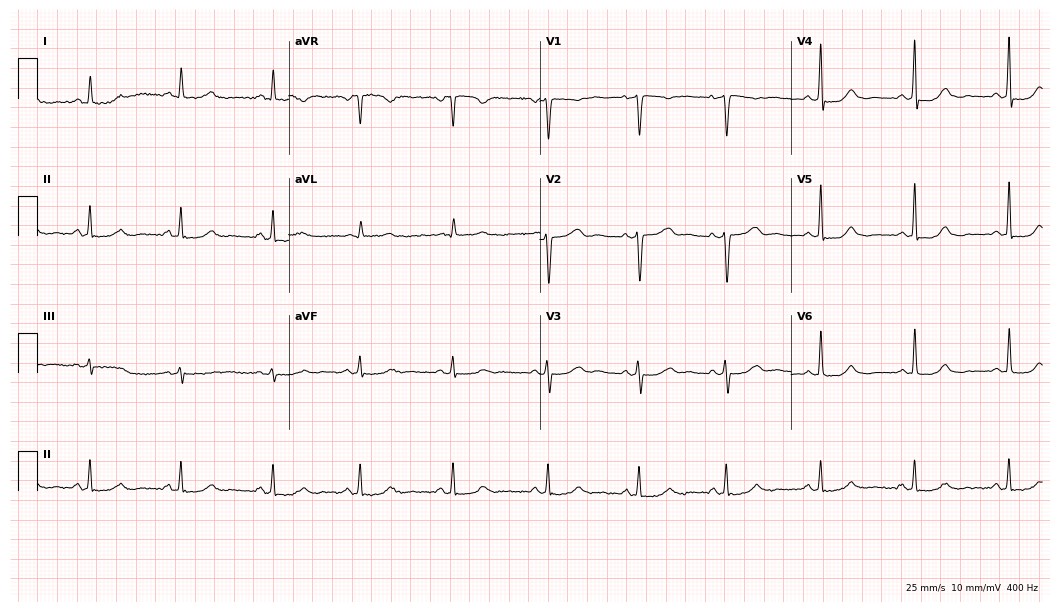
12-lead ECG (10.2-second recording at 400 Hz) from a 36-year-old woman. Screened for six findings — first-degree AV block, right bundle branch block, left bundle branch block, sinus bradycardia, atrial fibrillation, sinus tachycardia — none is recorded.